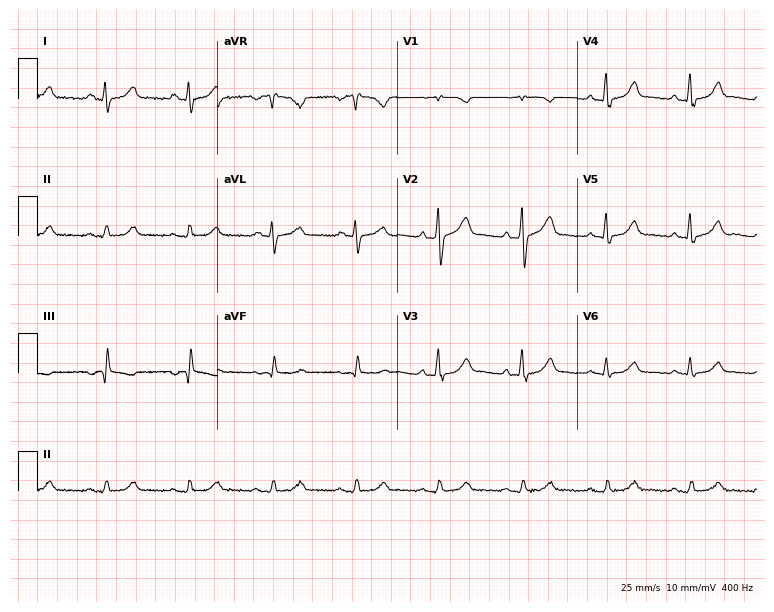
ECG (7.3-second recording at 400 Hz) — a 55-year-old man. Screened for six findings — first-degree AV block, right bundle branch block, left bundle branch block, sinus bradycardia, atrial fibrillation, sinus tachycardia — none is recorded.